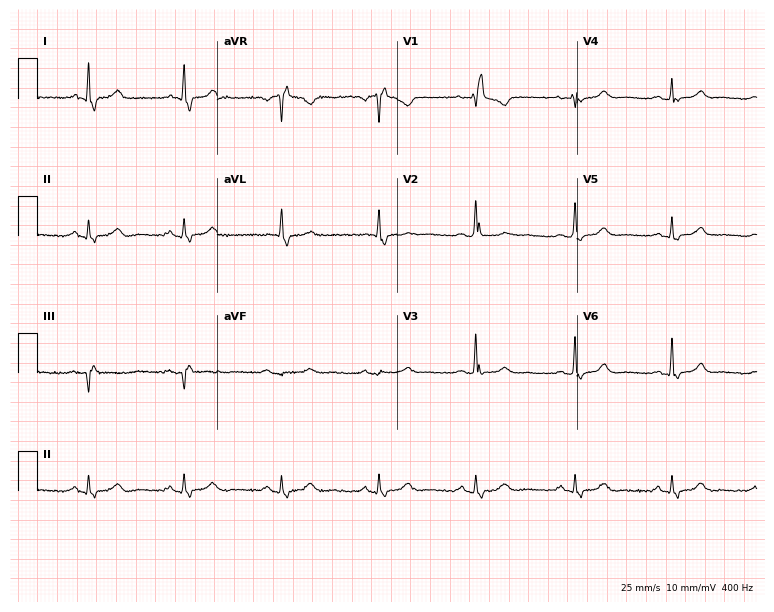
12-lead ECG from a 73-year-old female patient (7.3-second recording at 400 Hz). Shows right bundle branch block.